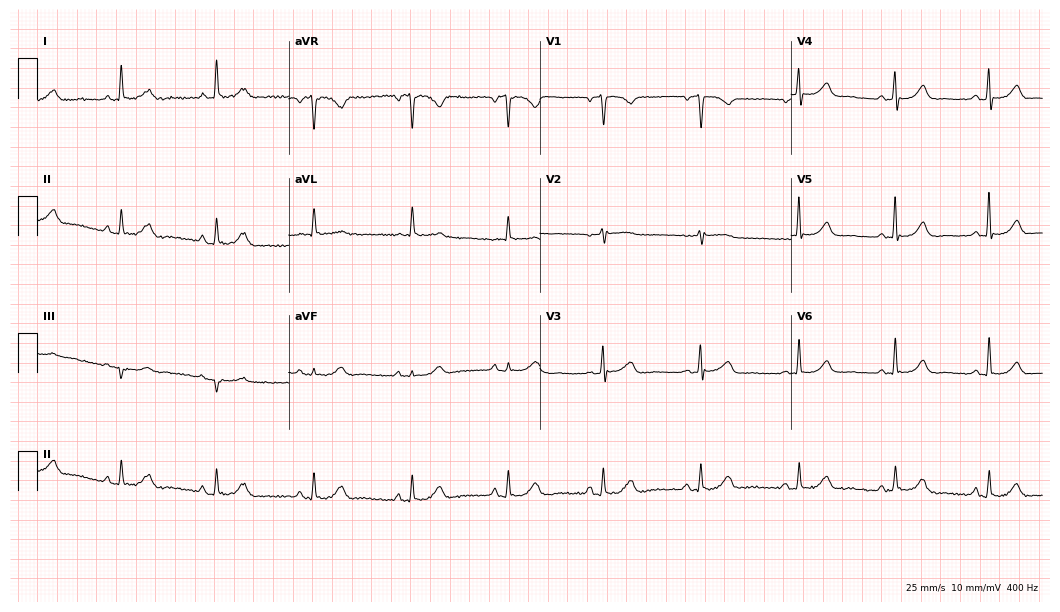
12-lead ECG from a female patient, 72 years old. Labelled as a normal ECG.